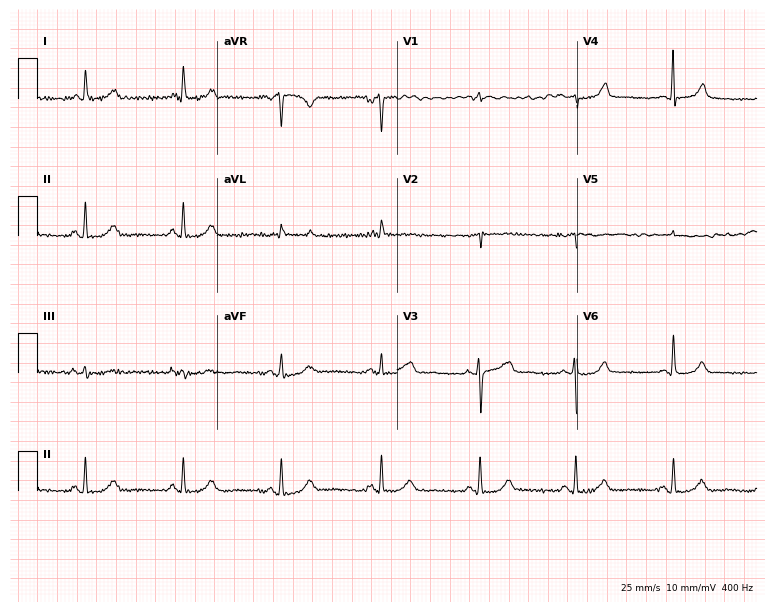
Electrocardiogram, a woman, 55 years old. Of the six screened findings (first-degree AV block, right bundle branch block, left bundle branch block, sinus bradycardia, atrial fibrillation, sinus tachycardia), none is recorded. Other findings, if any, are not listed.